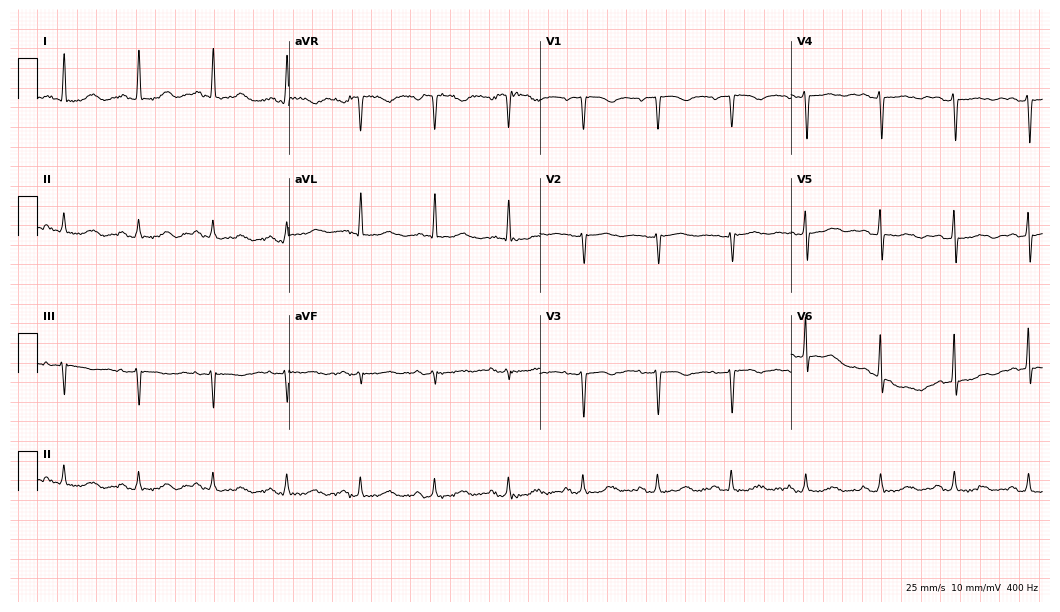
Electrocardiogram, a 68-year-old woman. Overall reading on record: normal ECG.